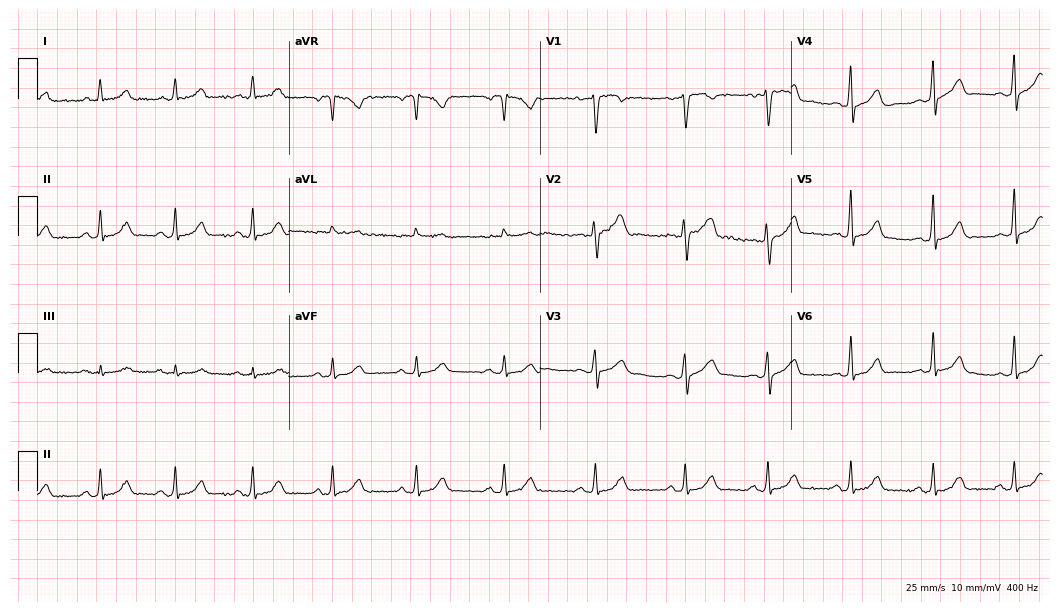
Standard 12-lead ECG recorded from a female patient, 36 years old (10.2-second recording at 400 Hz). Read as a normal ECG.